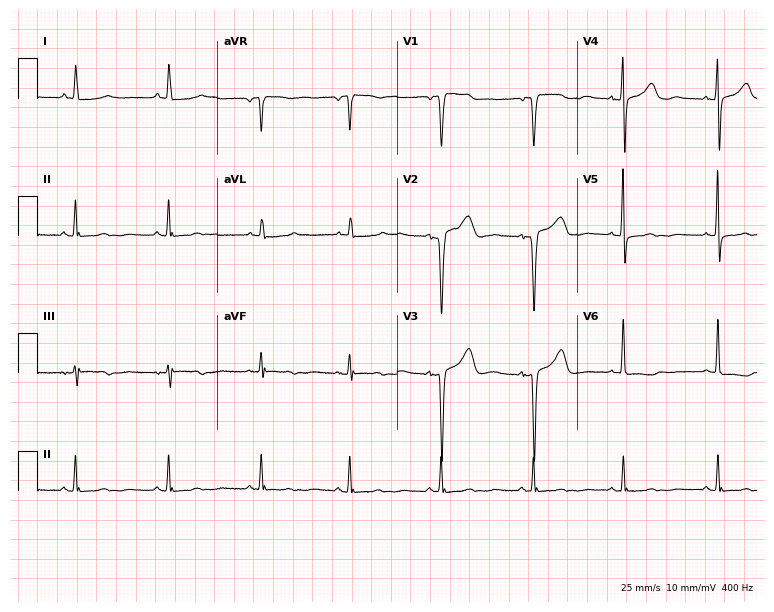
Standard 12-lead ECG recorded from a woman, 41 years old. None of these six findings is recorded: first-degree AV block, right bundle branch block (RBBB), left bundle branch block (LBBB), sinus bradycardia, atrial fibrillation (AF), sinus tachycardia.